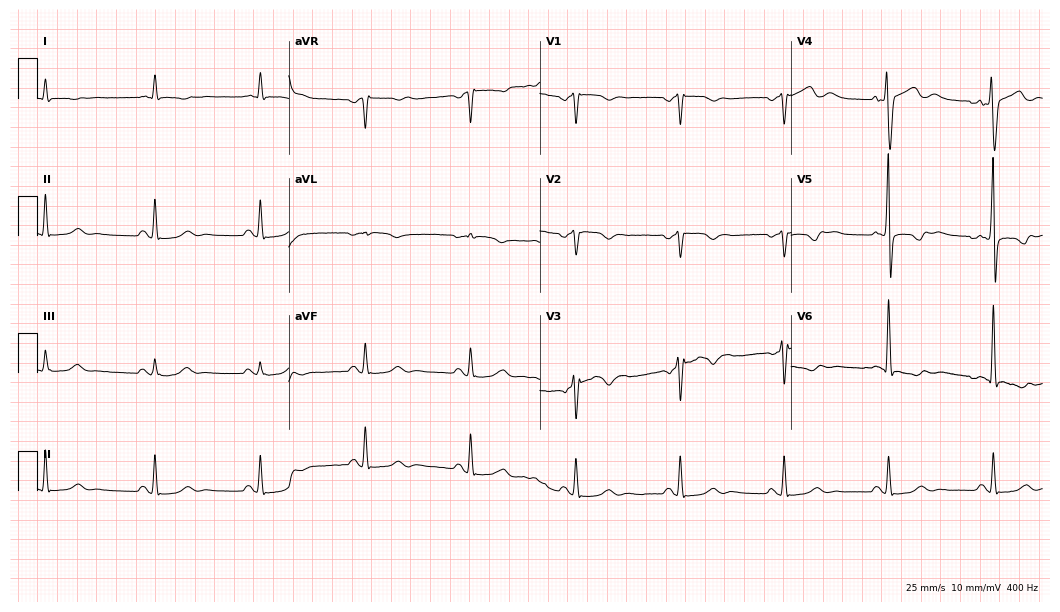
12-lead ECG from a male, 73 years old. Screened for six findings — first-degree AV block, right bundle branch block, left bundle branch block, sinus bradycardia, atrial fibrillation, sinus tachycardia — none is recorded. Other findings, if any, are not listed.